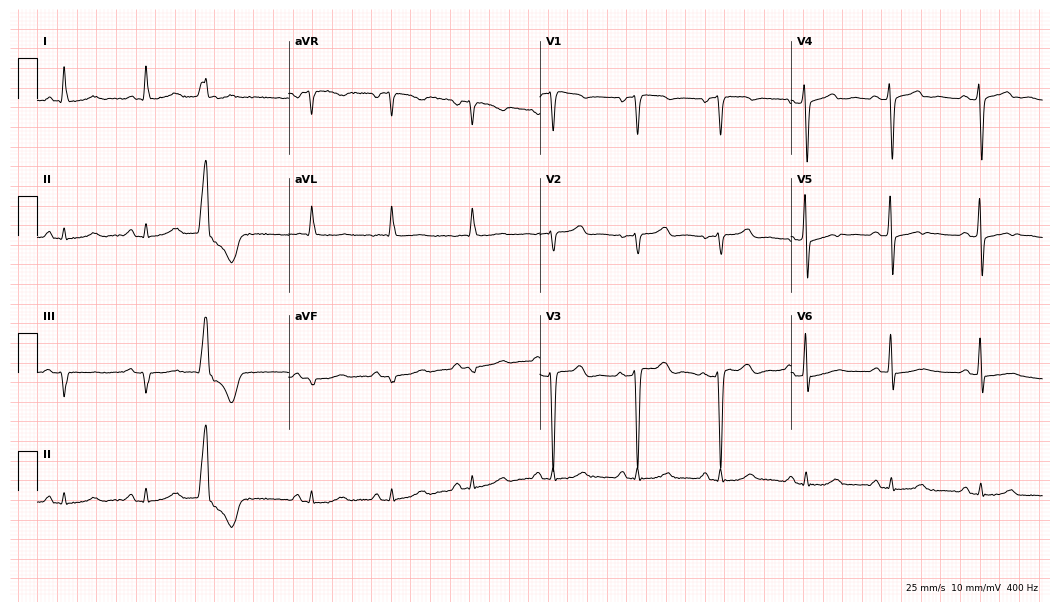
12-lead ECG from a male, 85 years old. Labelled as a normal ECG.